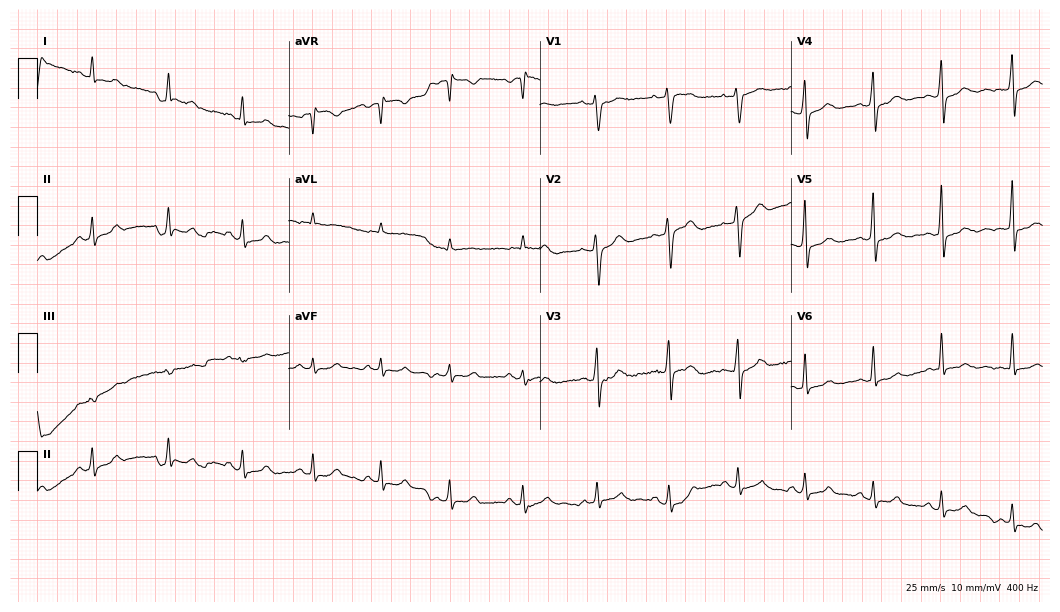
ECG — a male, 60 years old. Screened for six findings — first-degree AV block, right bundle branch block, left bundle branch block, sinus bradycardia, atrial fibrillation, sinus tachycardia — none is recorded. Findings outside these six are not listed.